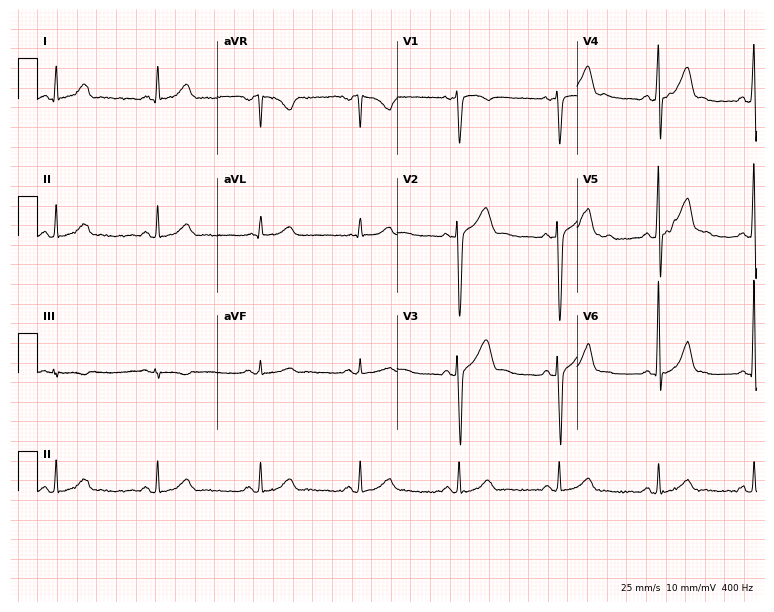
ECG (7.3-second recording at 400 Hz) — a 43-year-old male. Labelled as a normal ECG.